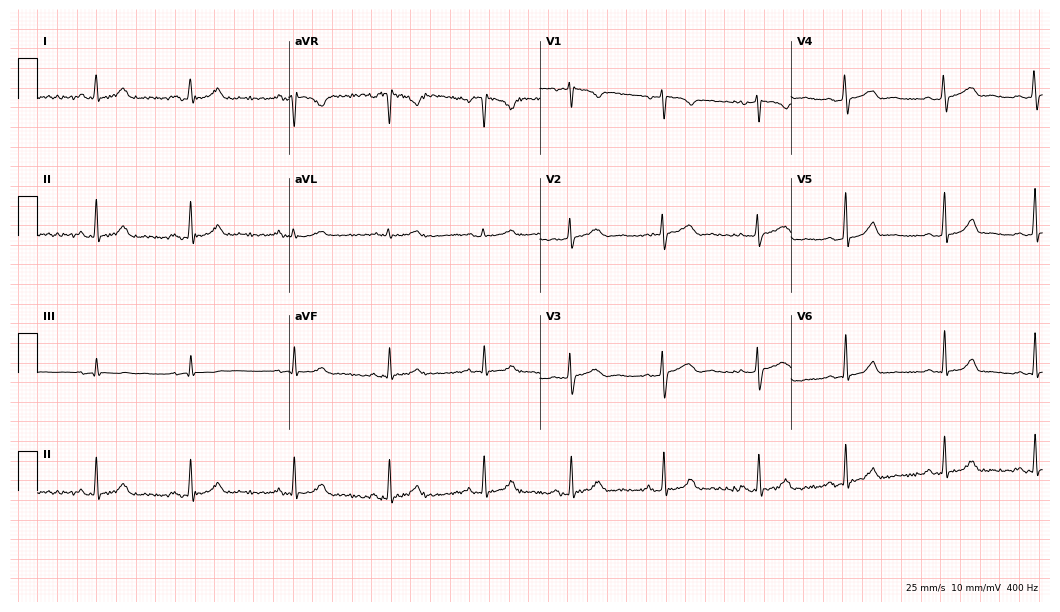
Electrocardiogram (10.2-second recording at 400 Hz), a 28-year-old female. Of the six screened findings (first-degree AV block, right bundle branch block (RBBB), left bundle branch block (LBBB), sinus bradycardia, atrial fibrillation (AF), sinus tachycardia), none is recorded. Findings outside these six are not listed.